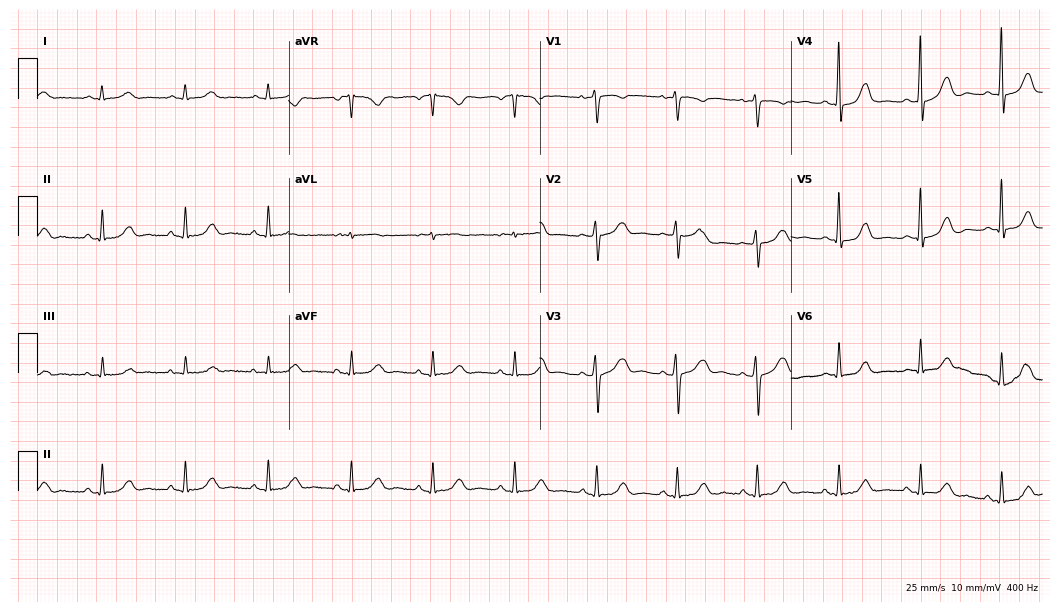
ECG — a 47-year-old female patient. Labelled as a normal ECG.